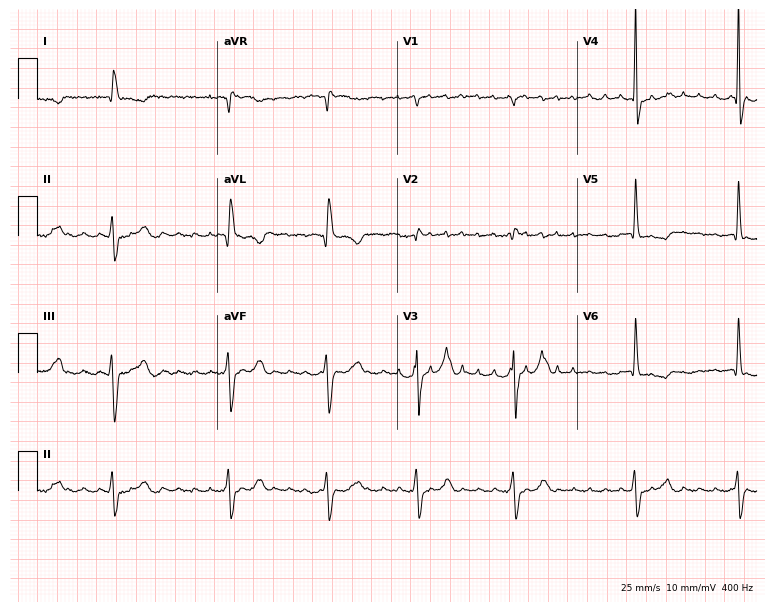
ECG (7.3-second recording at 400 Hz) — a male patient, 82 years old. Findings include atrial fibrillation.